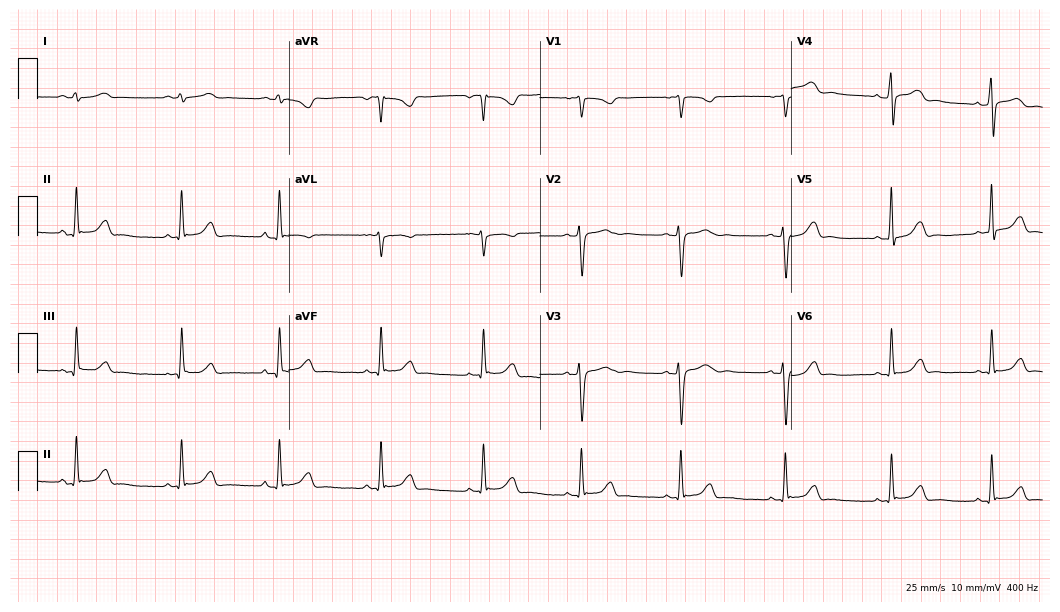
Electrocardiogram, a 17-year-old female. Overall reading on record: normal ECG.